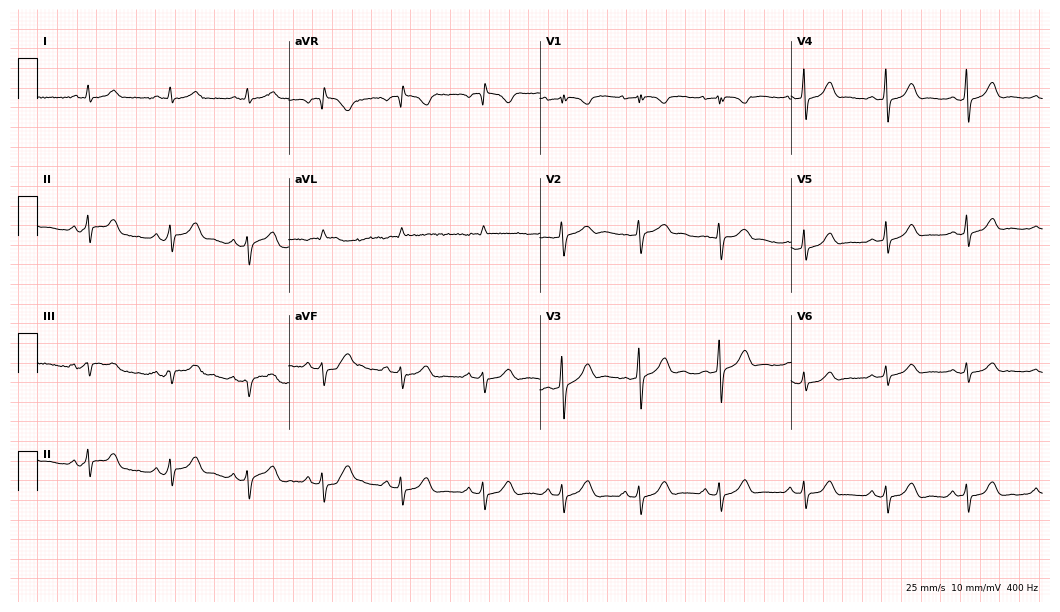
12-lead ECG from a 31-year-old female (10.2-second recording at 400 Hz). No first-degree AV block, right bundle branch block, left bundle branch block, sinus bradycardia, atrial fibrillation or sinus tachycardia recorded for this tracing. Findings outside these six are not listed.